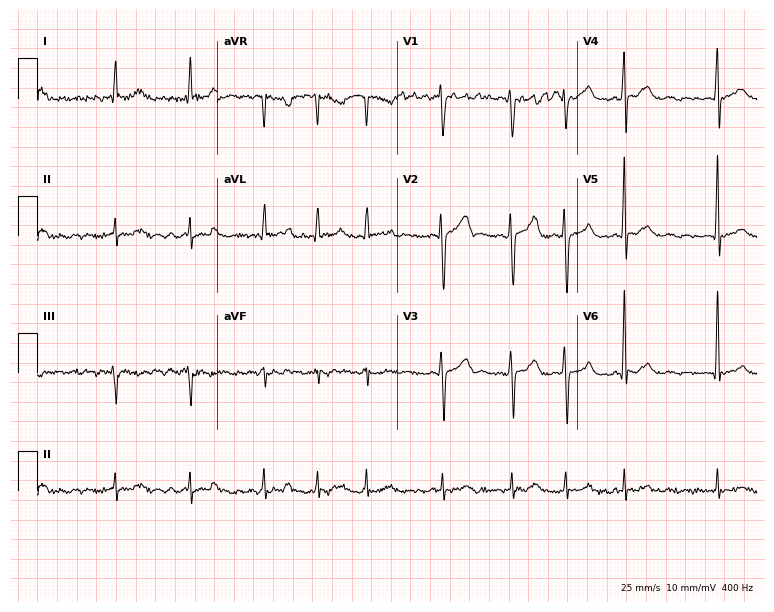
12-lead ECG (7.3-second recording at 400 Hz) from a 40-year-old man. Findings include atrial fibrillation.